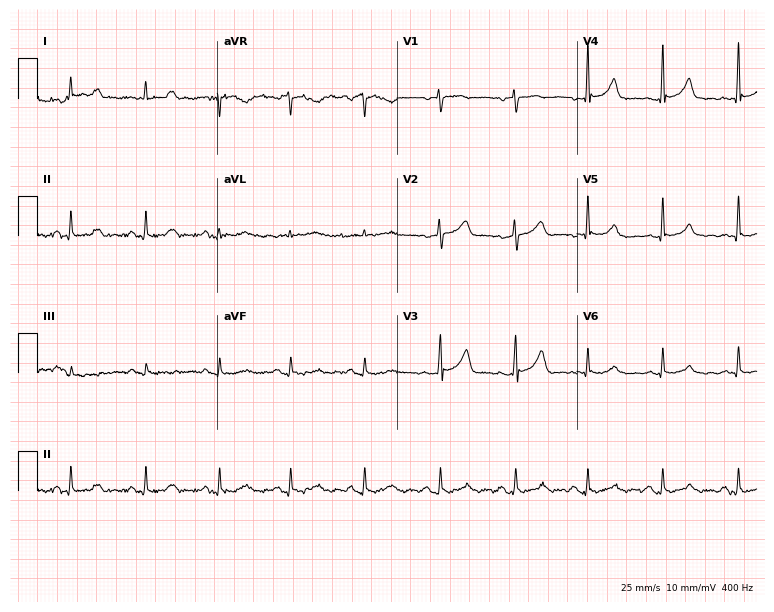
12-lead ECG from a male patient, 62 years old. Screened for six findings — first-degree AV block, right bundle branch block, left bundle branch block, sinus bradycardia, atrial fibrillation, sinus tachycardia — none is recorded. Only these six findings were labelled.